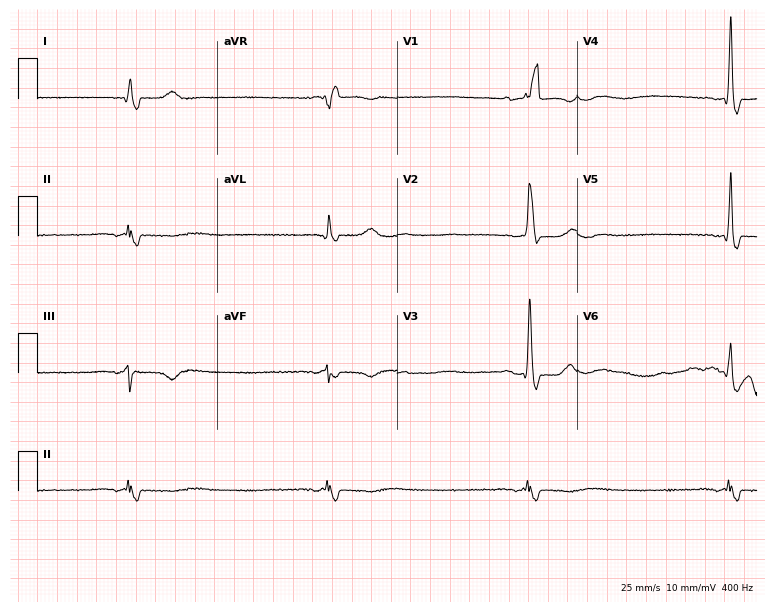
12-lead ECG from an 82-year-old man. Shows right bundle branch block, sinus bradycardia (a sinus rate of 50 beats per minute or less).